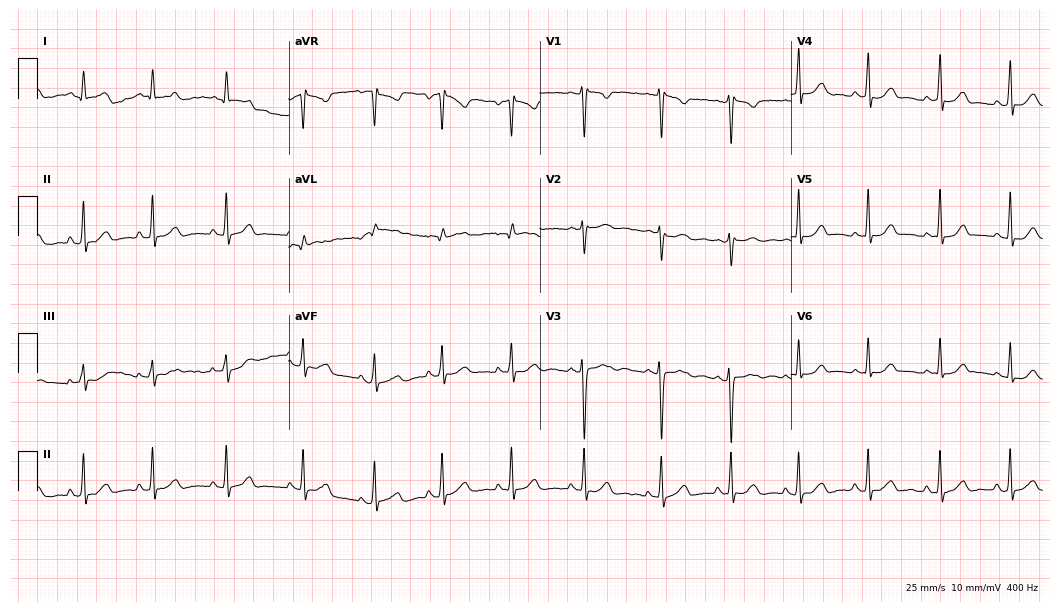
Electrocardiogram, a female patient, 25 years old. Of the six screened findings (first-degree AV block, right bundle branch block (RBBB), left bundle branch block (LBBB), sinus bradycardia, atrial fibrillation (AF), sinus tachycardia), none is recorded. Only these six findings were labelled.